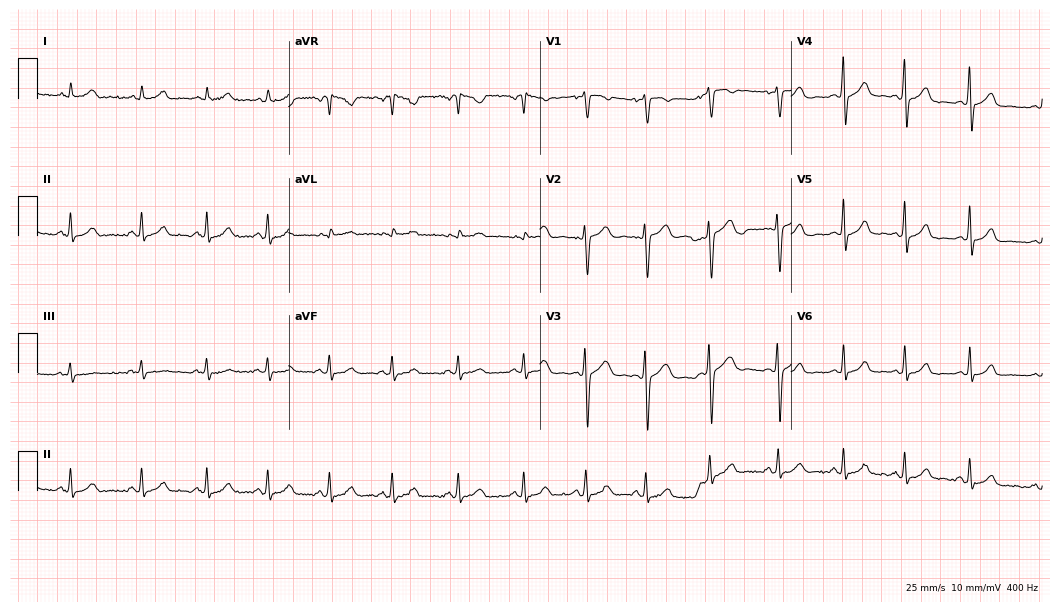
ECG — a female, 31 years old. Labelled as a normal ECG.